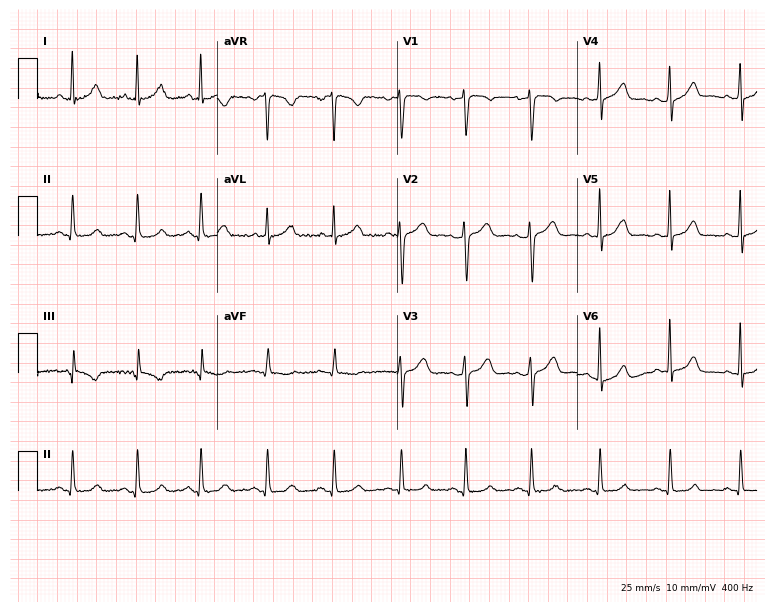
12-lead ECG (7.3-second recording at 400 Hz) from a female, 58 years old. Screened for six findings — first-degree AV block, right bundle branch block, left bundle branch block, sinus bradycardia, atrial fibrillation, sinus tachycardia — none is recorded. Only these six findings were labelled.